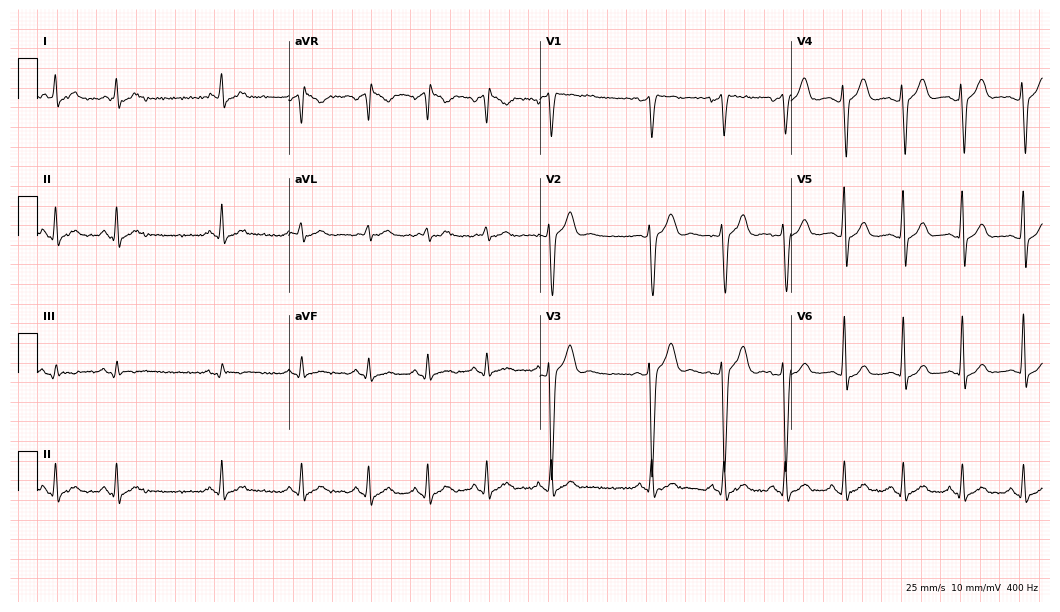
Electrocardiogram, a male, 32 years old. Of the six screened findings (first-degree AV block, right bundle branch block, left bundle branch block, sinus bradycardia, atrial fibrillation, sinus tachycardia), none is recorded.